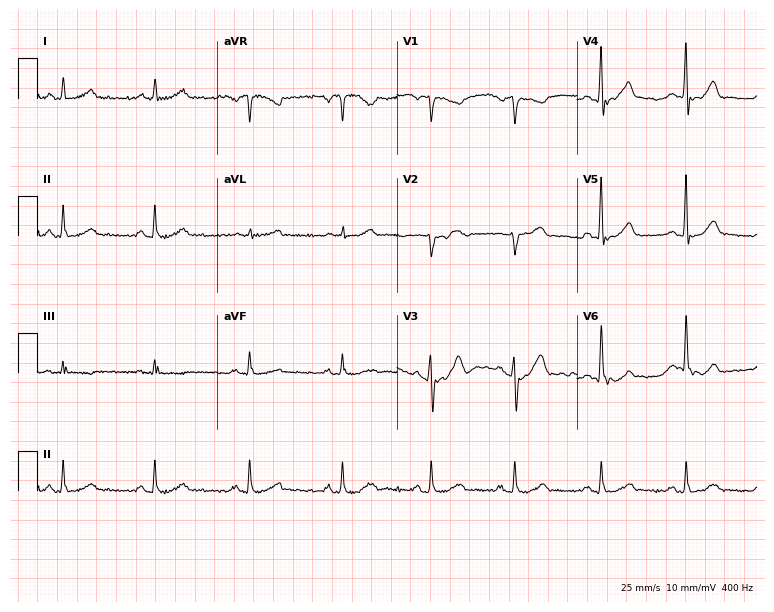
12-lead ECG from a male patient, 52 years old (7.3-second recording at 400 Hz). No first-degree AV block, right bundle branch block (RBBB), left bundle branch block (LBBB), sinus bradycardia, atrial fibrillation (AF) or sinus tachycardia recorded for this tracing.